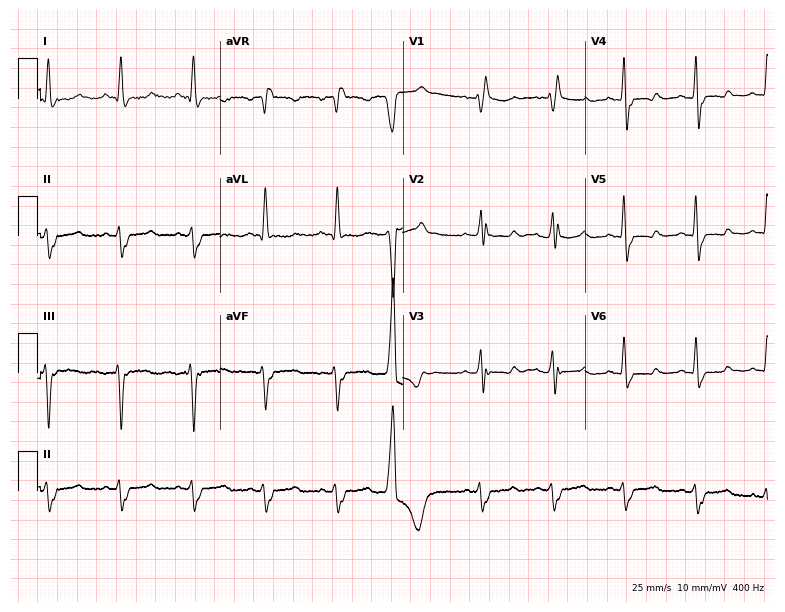
12-lead ECG from a 62-year-old female patient. No first-degree AV block, right bundle branch block, left bundle branch block, sinus bradycardia, atrial fibrillation or sinus tachycardia recorded for this tracing.